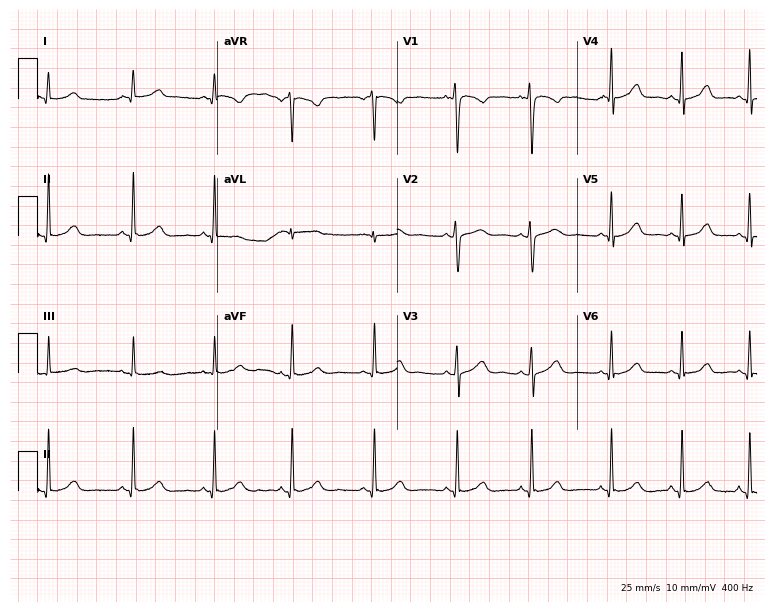
Electrocardiogram, a 19-year-old female. Of the six screened findings (first-degree AV block, right bundle branch block, left bundle branch block, sinus bradycardia, atrial fibrillation, sinus tachycardia), none is recorded. Other findings, if any, are not listed.